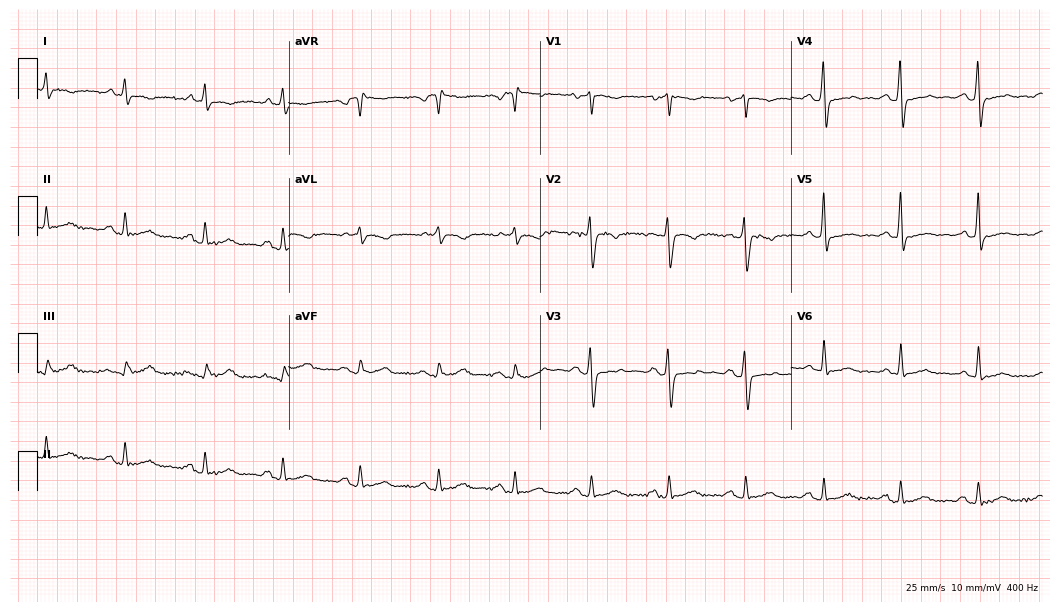
ECG (10.2-second recording at 400 Hz) — a 66-year-old male. Screened for six findings — first-degree AV block, right bundle branch block (RBBB), left bundle branch block (LBBB), sinus bradycardia, atrial fibrillation (AF), sinus tachycardia — none is recorded.